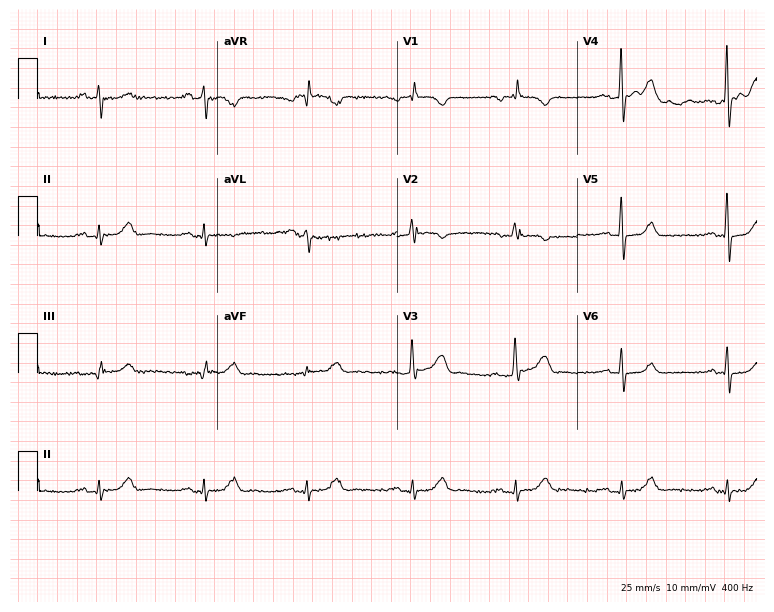
12-lead ECG from a male patient, 62 years old. Screened for six findings — first-degree AV block, right bundle branch block, left bundle branch block, sinus bradycardia, atrial fibrillation, sinus tachycardia — none is recorded. Other findings, if any, are not listed.